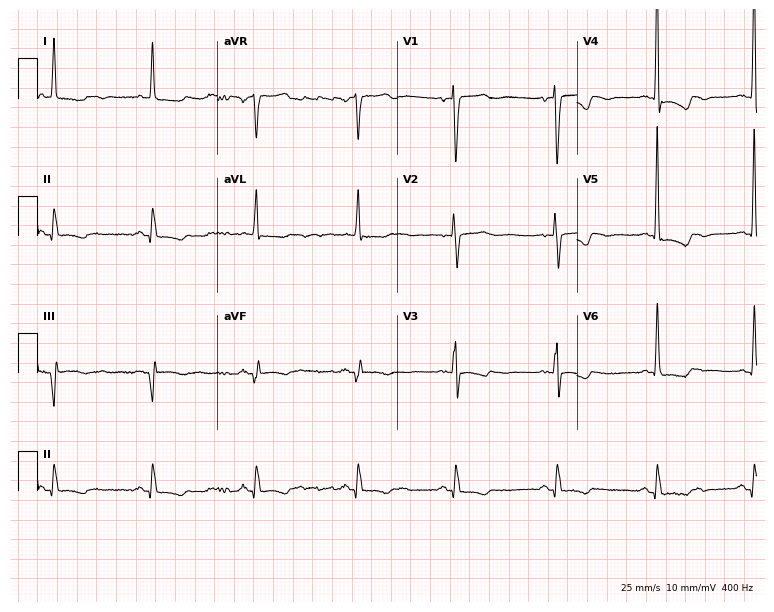
12-lead ECG from a 74-year-old female. No first-degree AV block, right bundle branch block, left bundle branch block, sinus bradycardia, atrial fibrillation or sinus tachycardia recorded for this tracing.